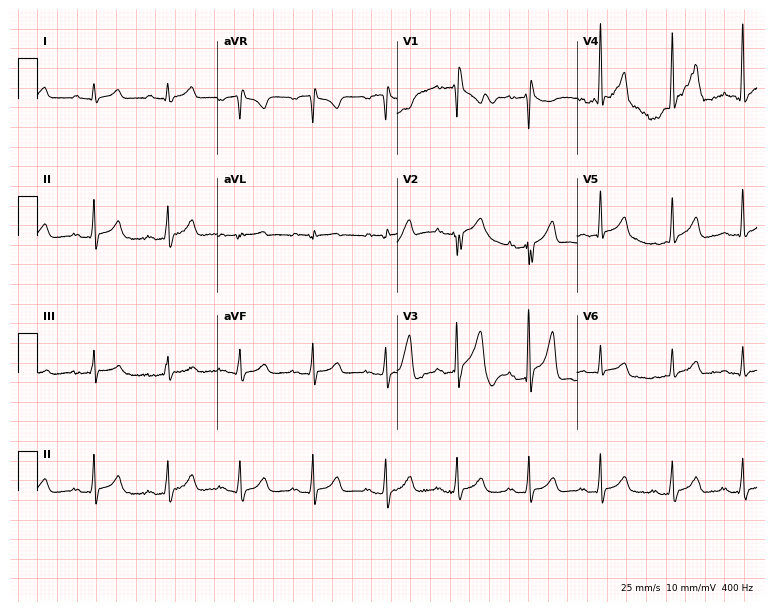
Standard 12-lead ECG recorded from a 24-year-old male (7.3-second recording at 400 Hz). Read as a normal ECG.